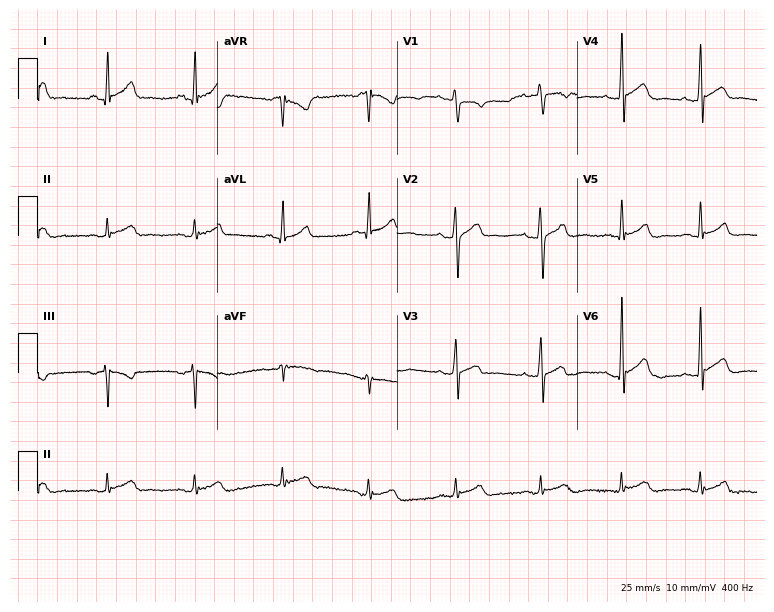
Standard 12-lead ECG recorded from a man, 35 years old. Read as a normal ECG.